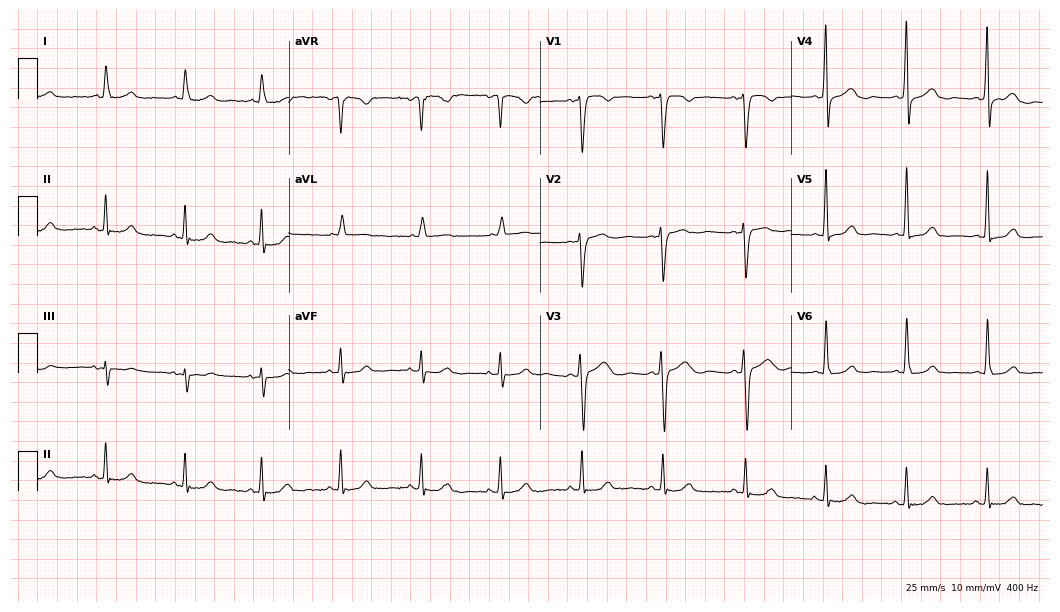
Standard 12-lead ECG recorded from a 52-year-old female (10.2-second recording at 400 Hz). Read as a normal ECG.